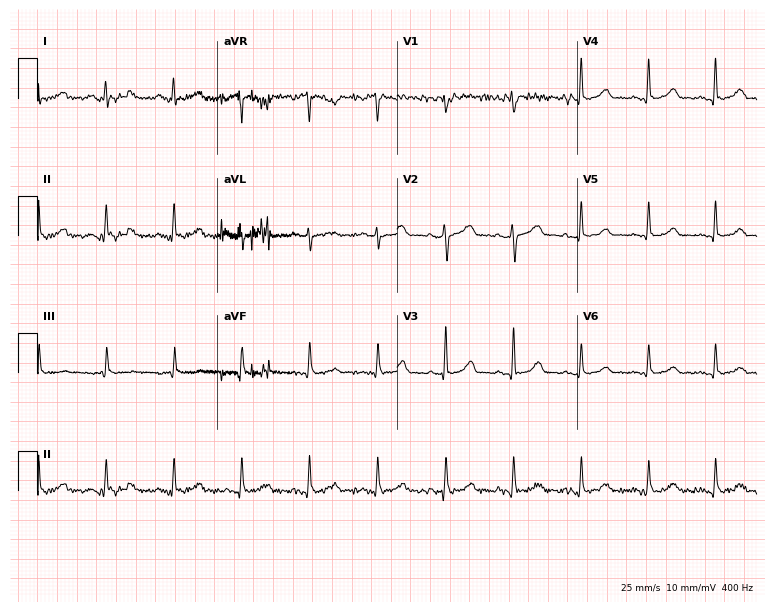
12-lead ECG from a female patient, 52 years old (7.3-second recording at 400 Hz). Recorded interpretation: within normal limits.